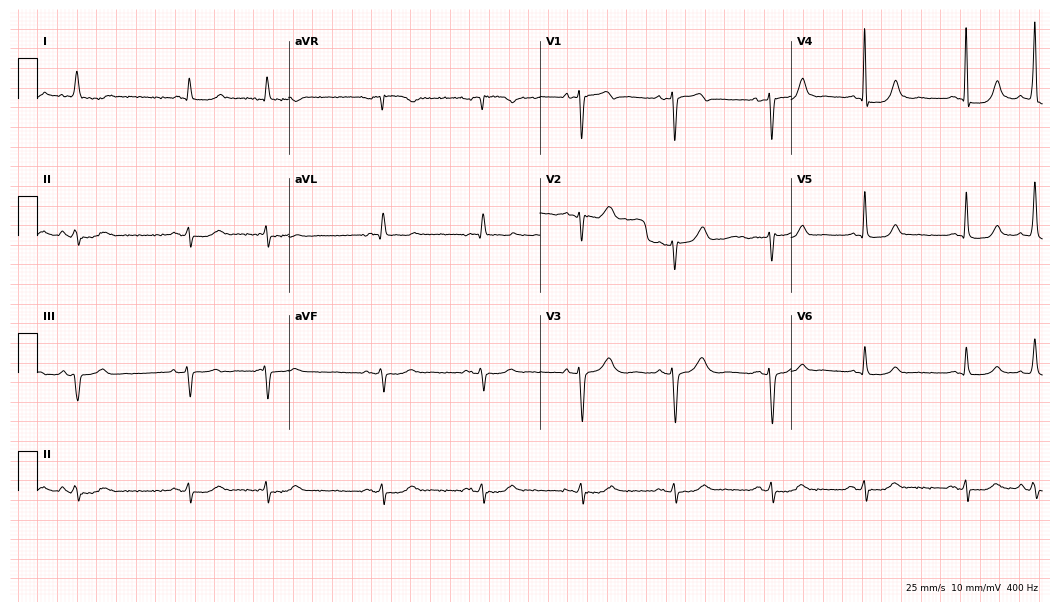
Standard 12-lead ECG recorded from a male, 76 years old. None of these six findings is recorded: first-degree AV block, right bundle branch block, left bundle branch block, sinus bradycardia, atrial fibrillation, sinus tachycardia.